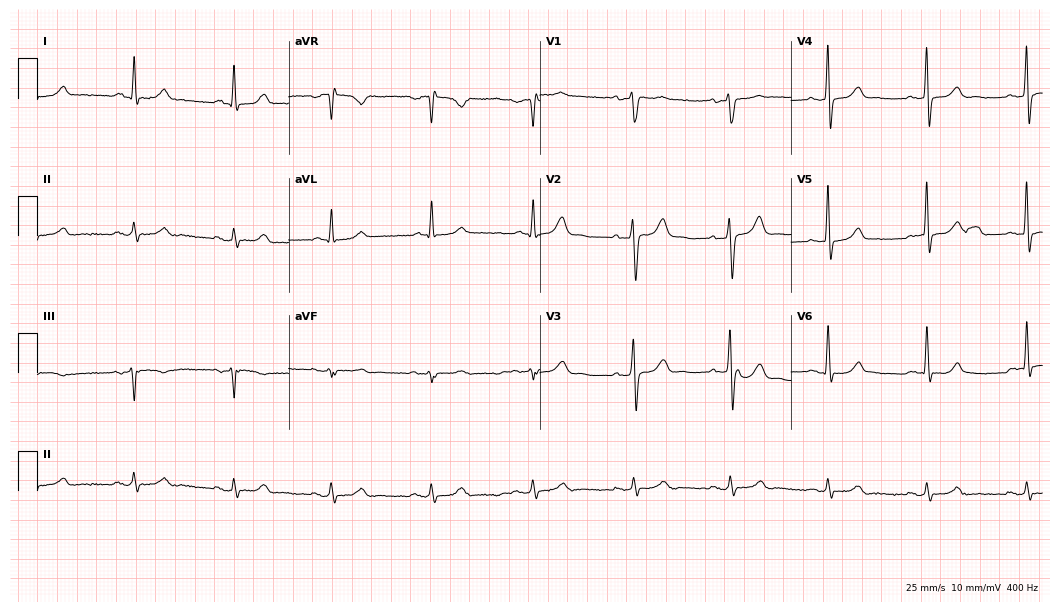
Standard 12-lead ECG recorded from a 57-year-old male (10.2-second recording at 400 Hz). Read as a normal ECG.